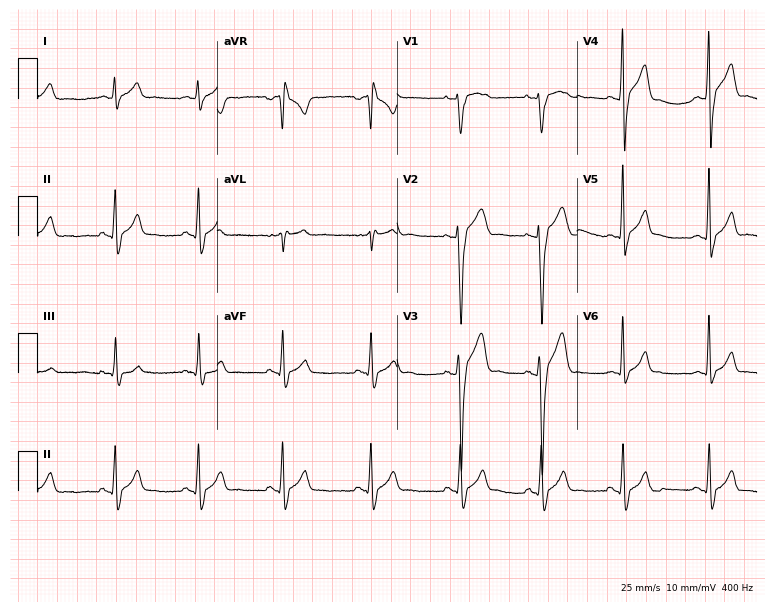
12-lead ECG from a man, 23 years old (7.3-second recording at 400 Hz). Recorded interpretation: within normal limits.